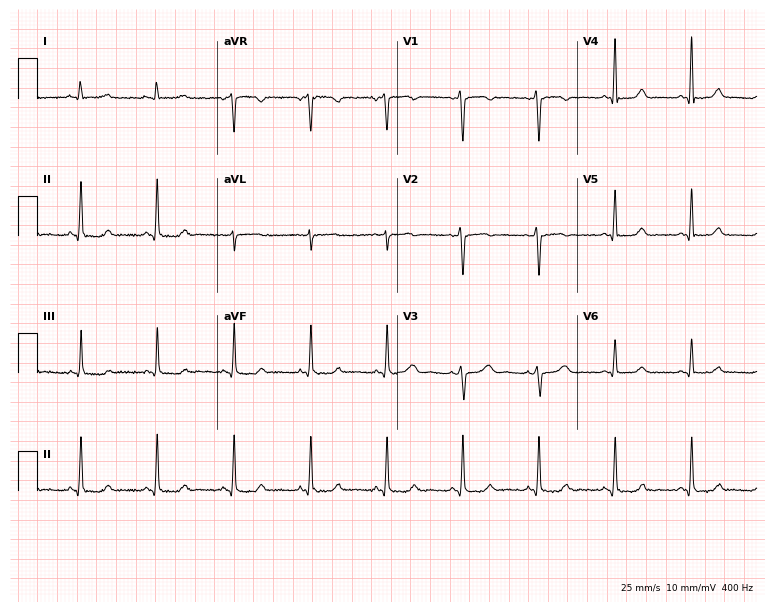
Resting 12-lead electrocardiogram (7.3-second recording at 400 Hz). Patient: a female, 34 years old. None of these six findings is recorded: first-degree AV block, right bundle branch block, left bundle branch block, sinus bradycardia, atrial fibrillation, sinus tachycardia.